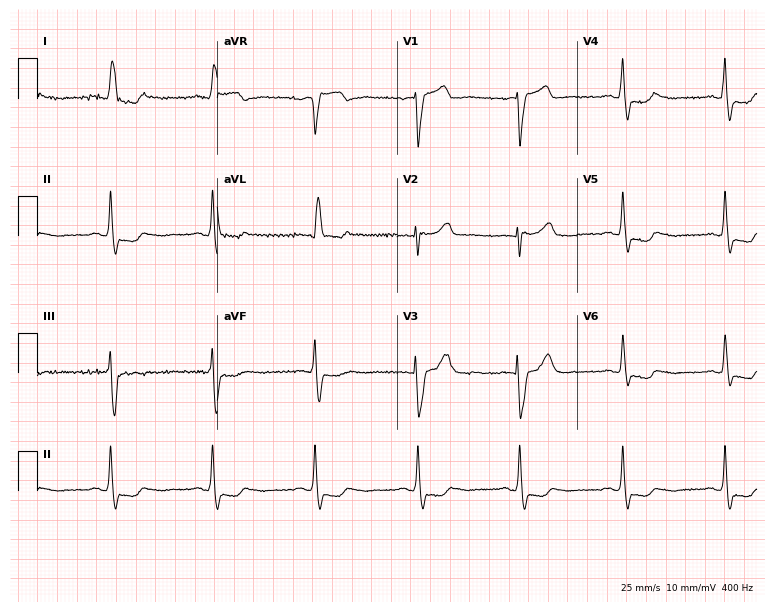
12-lead ECG (7.3-second recording at 400 Hz) from a male, 79 years old. Findings include left bundle branch block (LBBB).